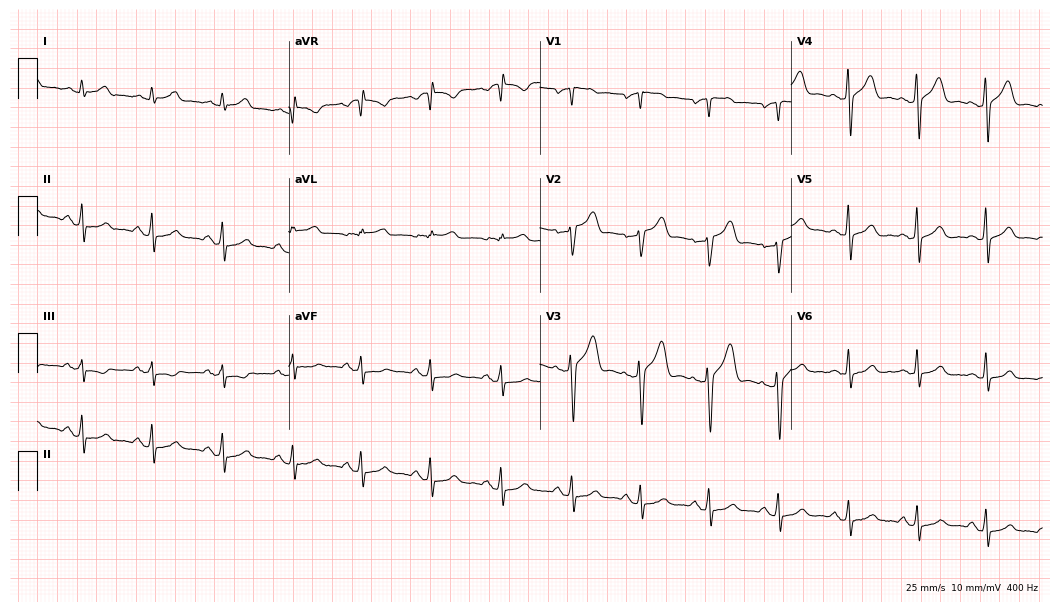
Resting 12-lead electrocardiogram. Patient: a male, 57 years old. Read as a normal ECG.